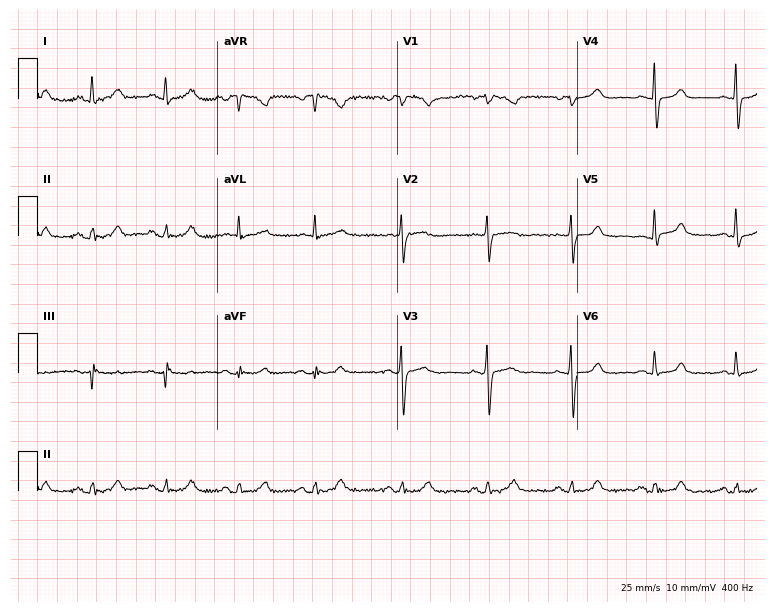
ECG (7.3-second recording at 400 Hz) — a female, 56 years old. Screened for six findings — first-degree AV block, right bundle branch block, left bundle branch block, sinus bradycardia, atrial fibrillation, sinus tachycardia — none is recorded. Only these six findings were labelled.